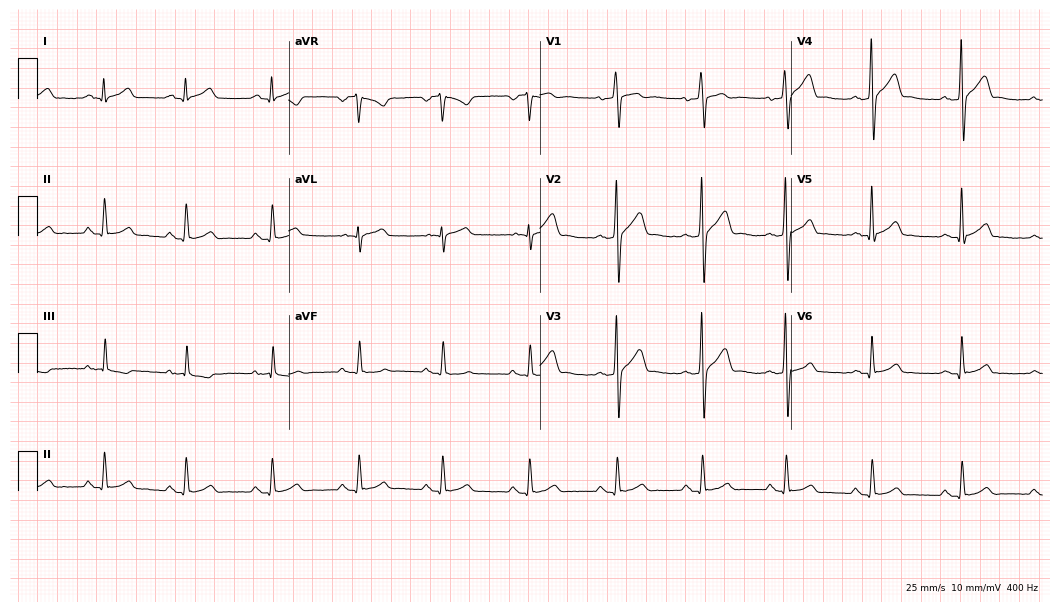
12-lead ECG from a male, 31 years old (10.2-second recording at 400 Hz). Recorded interpretation: within normal limits.